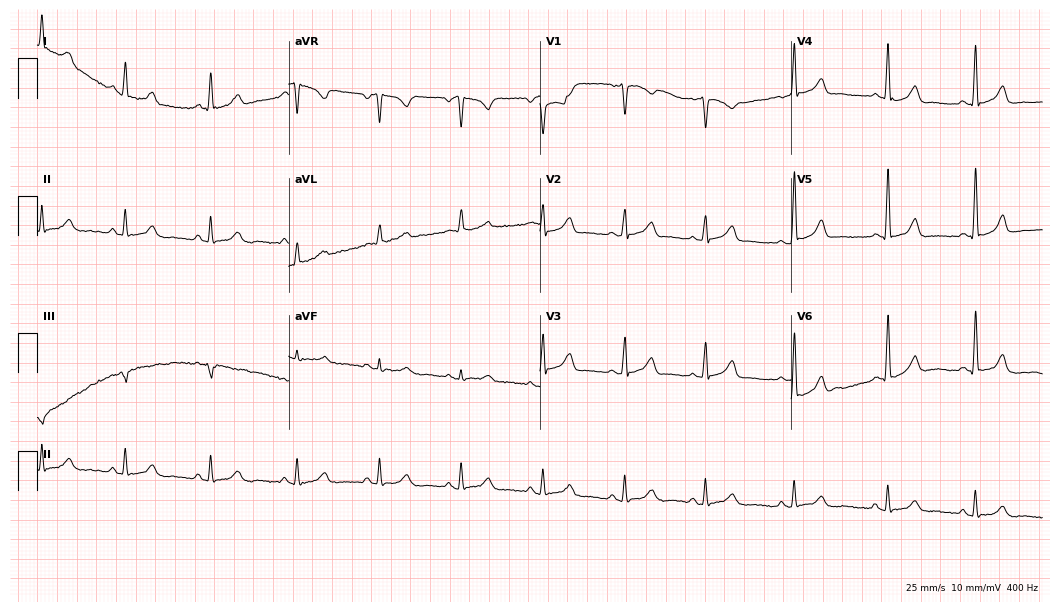
Standard 12-lead ECG recorded from a 46-year-old female patient (10.2-second recording at 400 Hz). None of these six findings is recorded: first-degree AV block, right bundle branch block (RBBB), left bundle branch block (LBBB), sinus bradycardia, atrial fibrillation (AF), sinus tachycardia. Only these six findings were labelled.